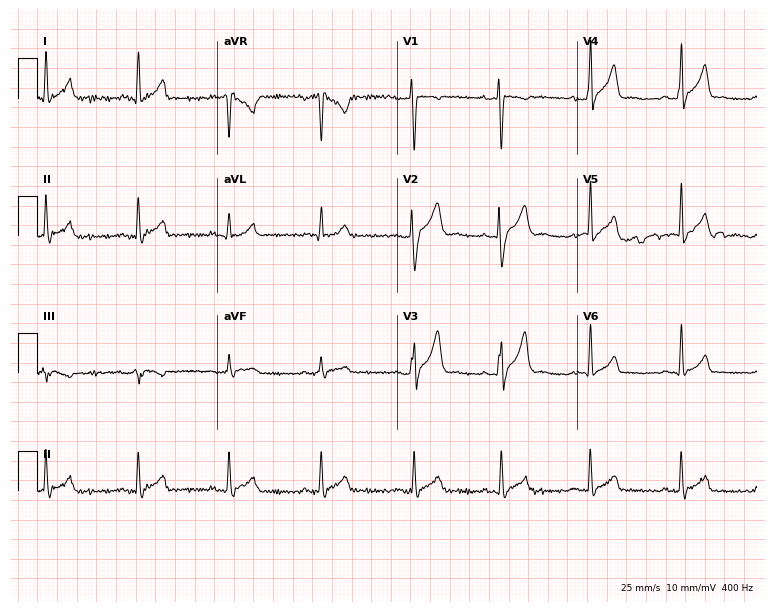
ECG (7.3-second recording at 400 Hz) — a 35-year-old male. Labelled as a normal ECG.